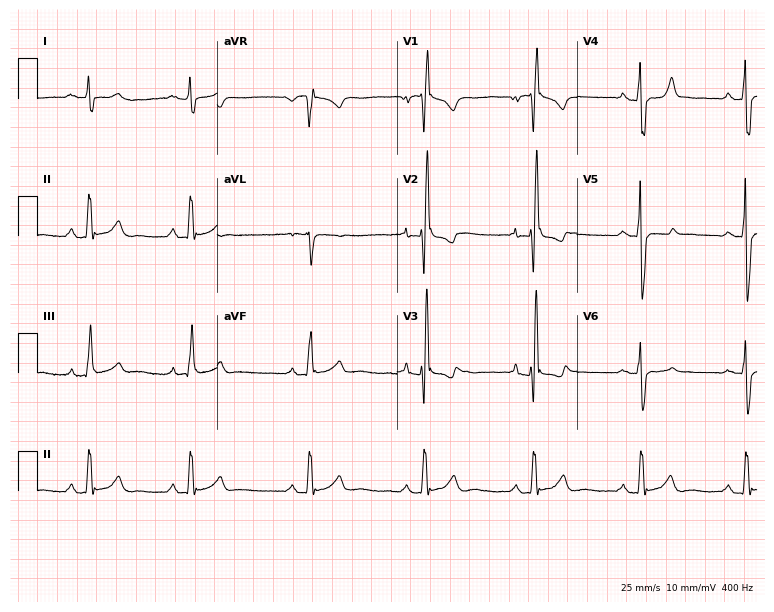
Standard 12-lead ECG recorded from a 29-year-old male patient. The tracing shows right bundle branch block (RBBB).